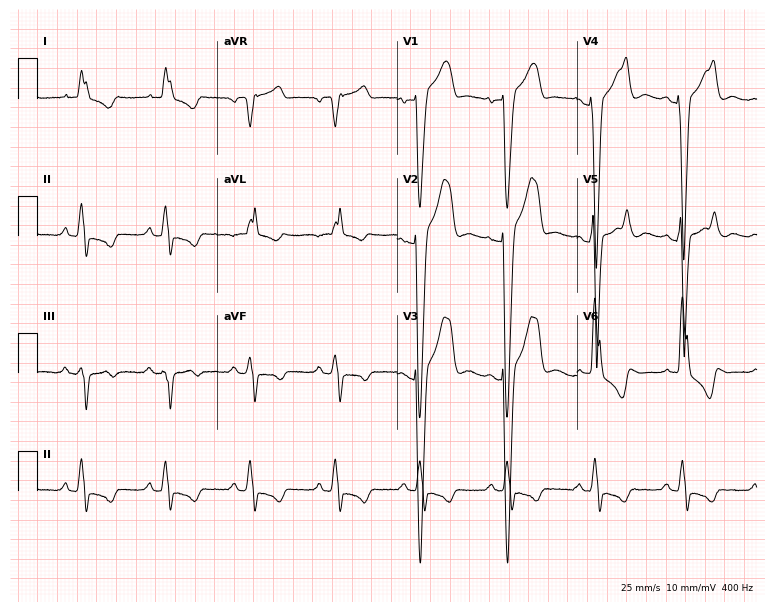
Resting 12-lead electrocardiogram. Patient: a male, 79 years old. The tracing shows left bundle branch block (LBBB).